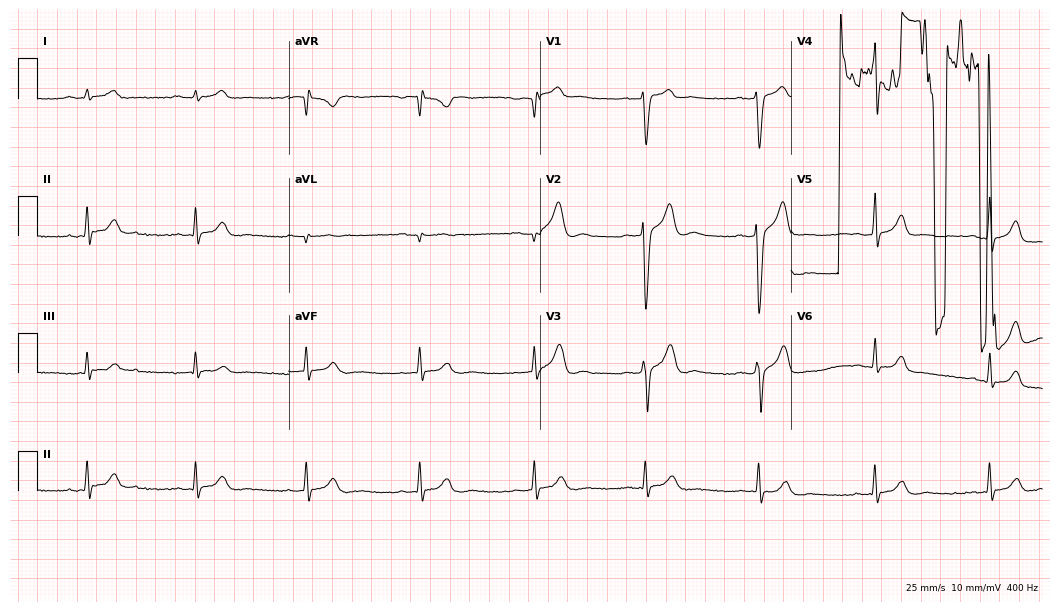
ECG (10.2-second recording at 400 Hz) — a 32-year-old male patient. Screened for six findings — first-degree AV block, right bundle branch block (RBBB), left bundle branch block (LBBB), sinus bradycardia, atrial fibrillation (AF), sinus tachycardia — none is recorded. Other findings, if any, are not listed.